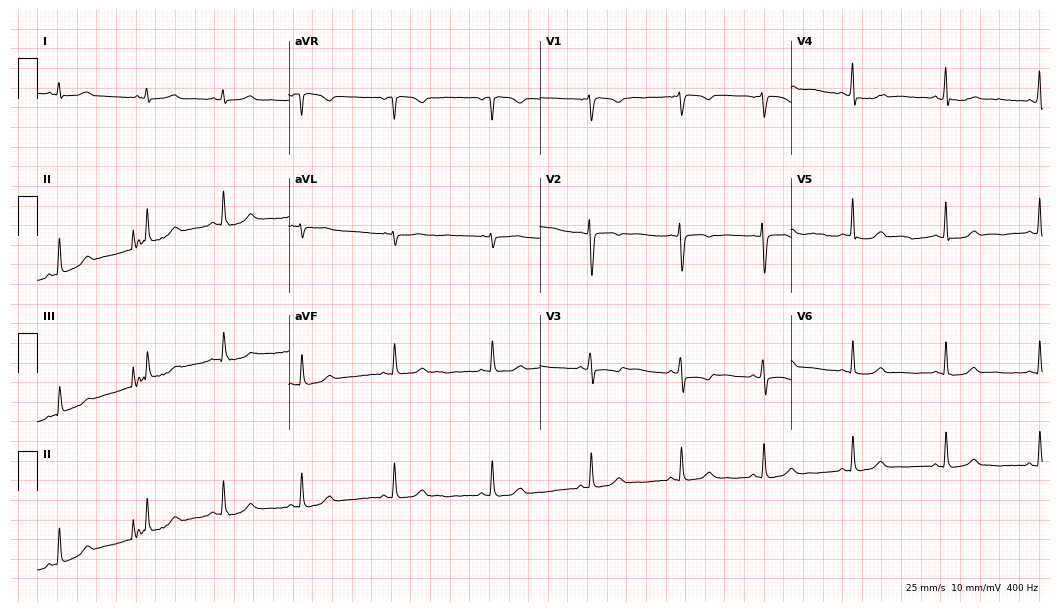
12-lead ECG from a woman, 27 years old. No first-degree AV block, right bundle branch block (RBBB), left bundle branch block (LBBB), sinus bradycardia, atrial fibrillation (AF) or sinus tachycardia recorded for this tracing. Findings outside these six are not listed.